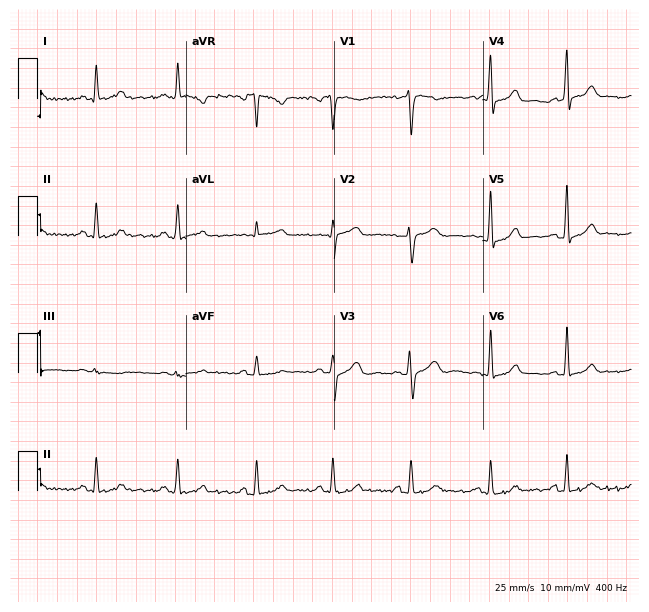
Resting 12-lead electrocardiogram. Patient: a female, 28 years old. None of these six findings is recorded: first-degree AV block, right bundle branch block (RBBB), left bundle branch block (LBBB), sinus bradycardia, atrial fibrillation (AF), sinus tachycardia.